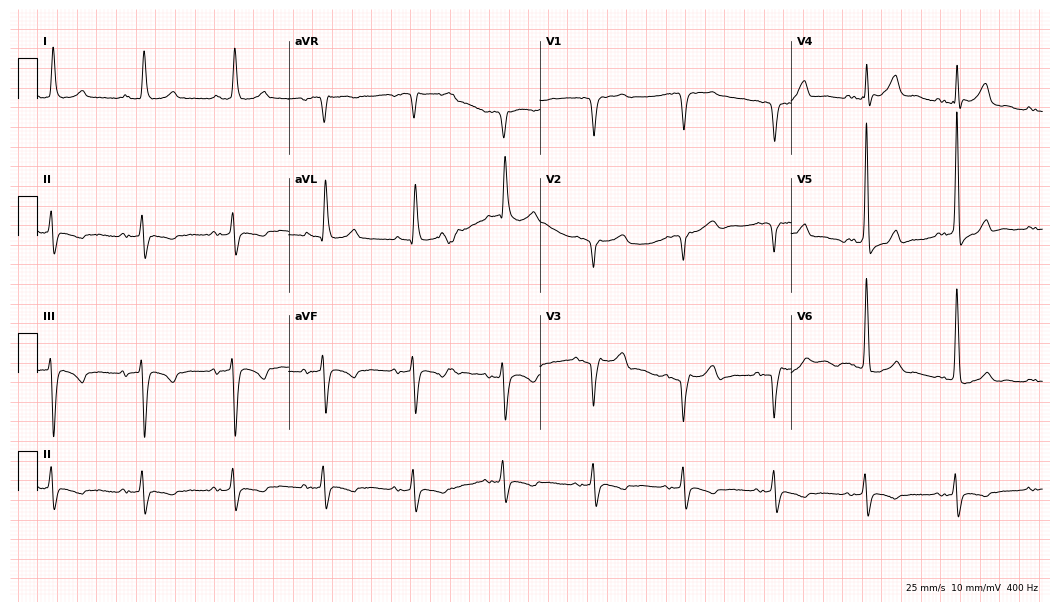
Resting 12-lead electrocardiogram (10.2-second recording at 400 Hz). Patient: an 82-year-old male. None of these six findings is recorded: first-degree AV block, right bundle branch block, left bundle branch block, sinus bradycardia, atrial fibrillation, sinus tachycardia. Other findings, if any, are not listed.